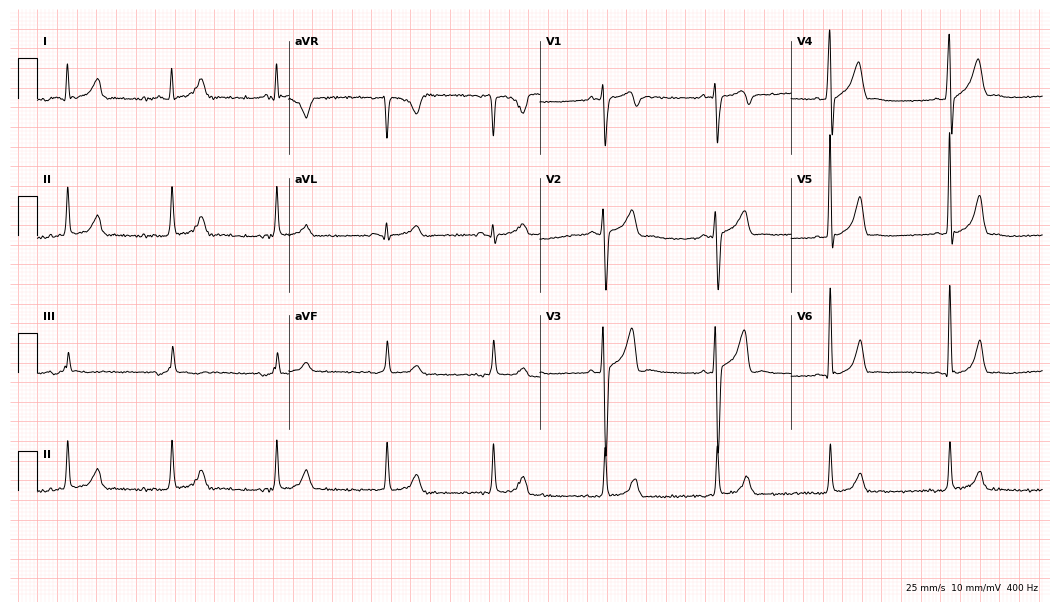
12-lead ECG from a man, 34 years old (10.2-second recording at 400 Hz). Recorded interpretation: within normal limits.